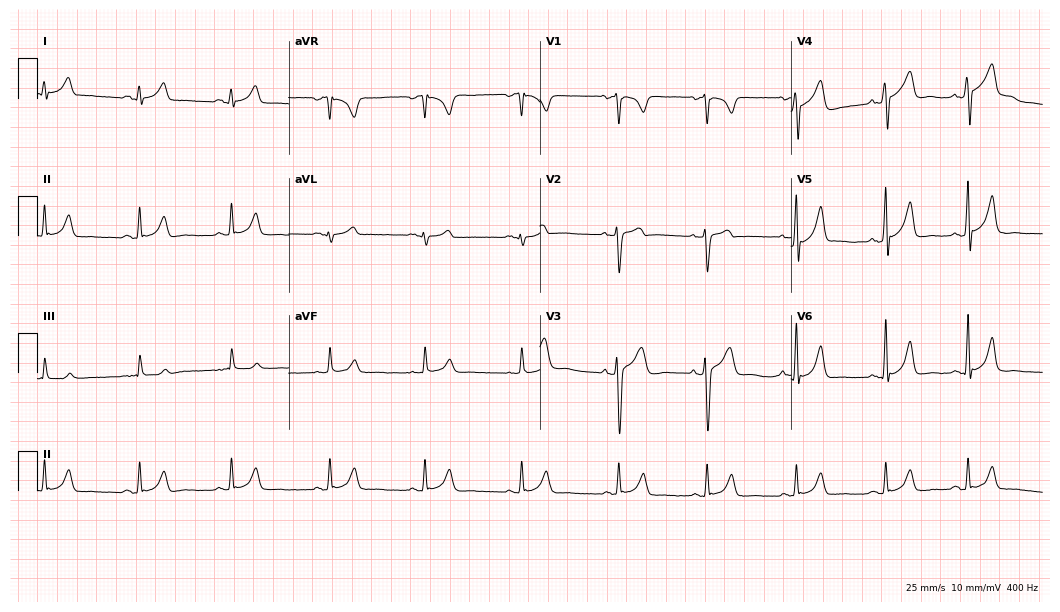
Electrocardiogram, a 33-year-old male. Overall reading on record: normal ECG.